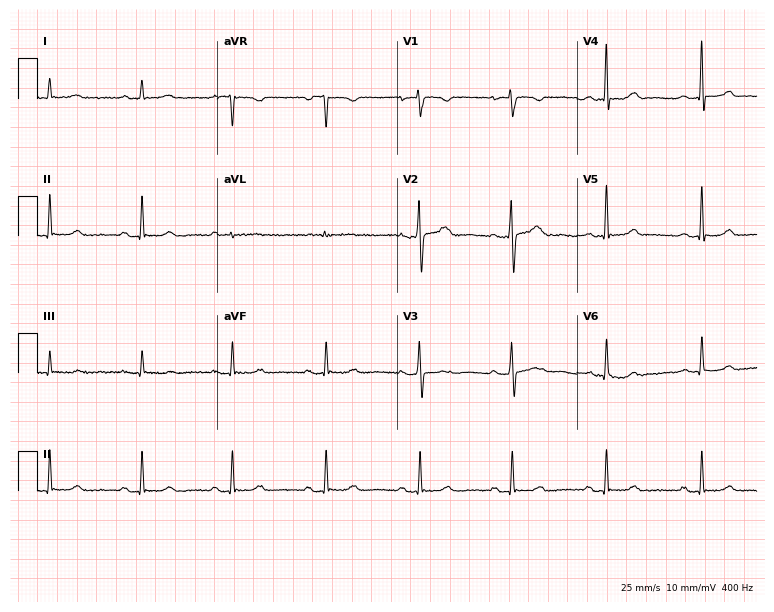
Electrocardiogram (7.3-second recording at 400 Hz), a 45-year-old female patient. Overall reading on record: normal ECG.